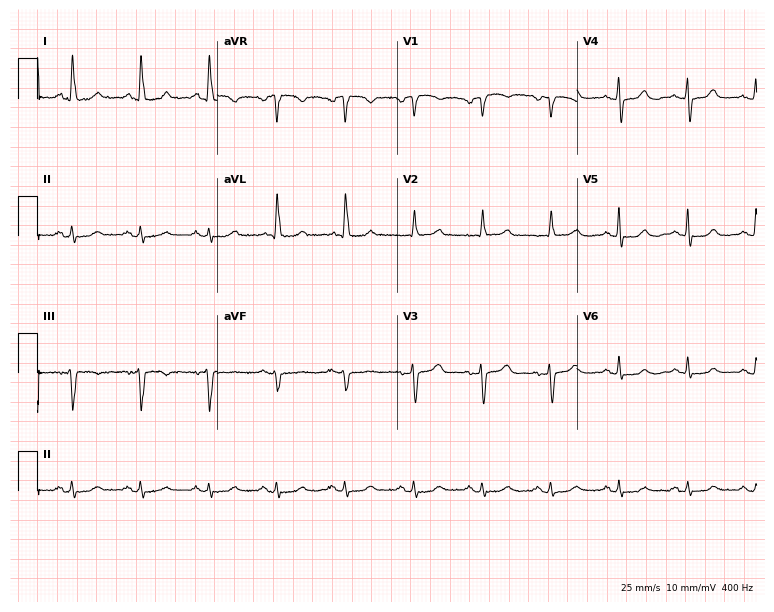
12-lead ECG from an 85-year-old male. Recorded interpretation: within normal limits.